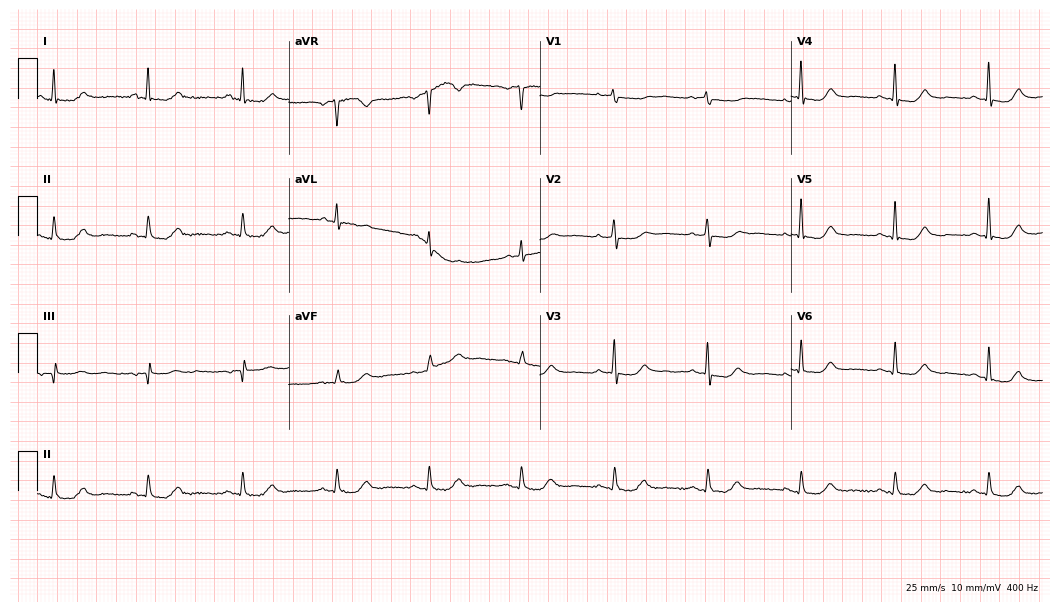
Resting 12-lead electrocardiogram. Patient: a woman, 74 years old. None of these six findings is recorded: first-degree AV block, right bundle branch block (RBBB), left bundle branch block (LBBB), sinus bradycardia, atrial fibrillation (AF), sinus tachycardia.